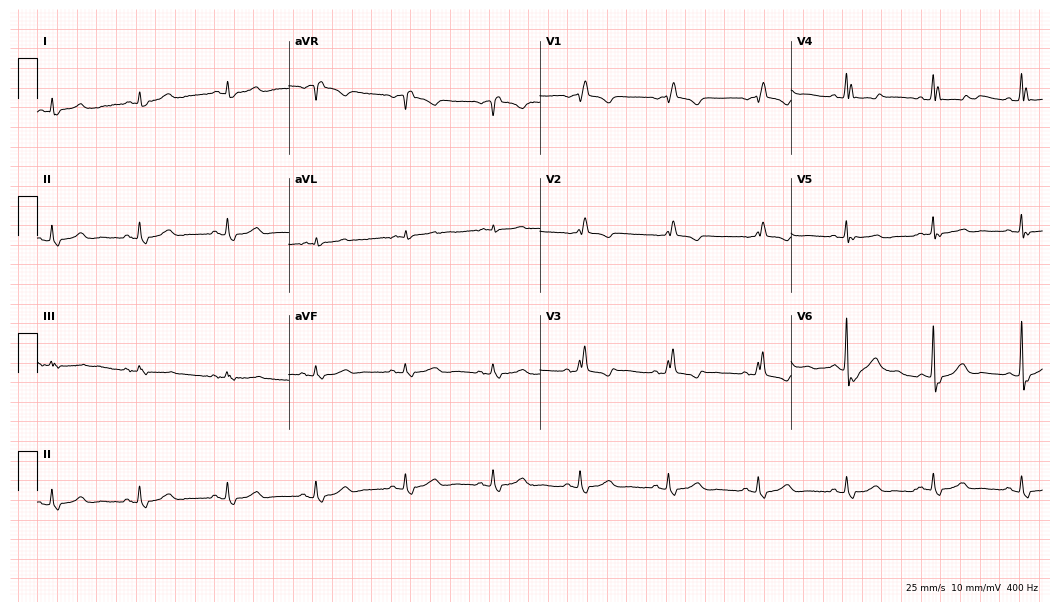
Electrocardiogram, a man, 77 years old. Interpretation includes right bundle branch block.